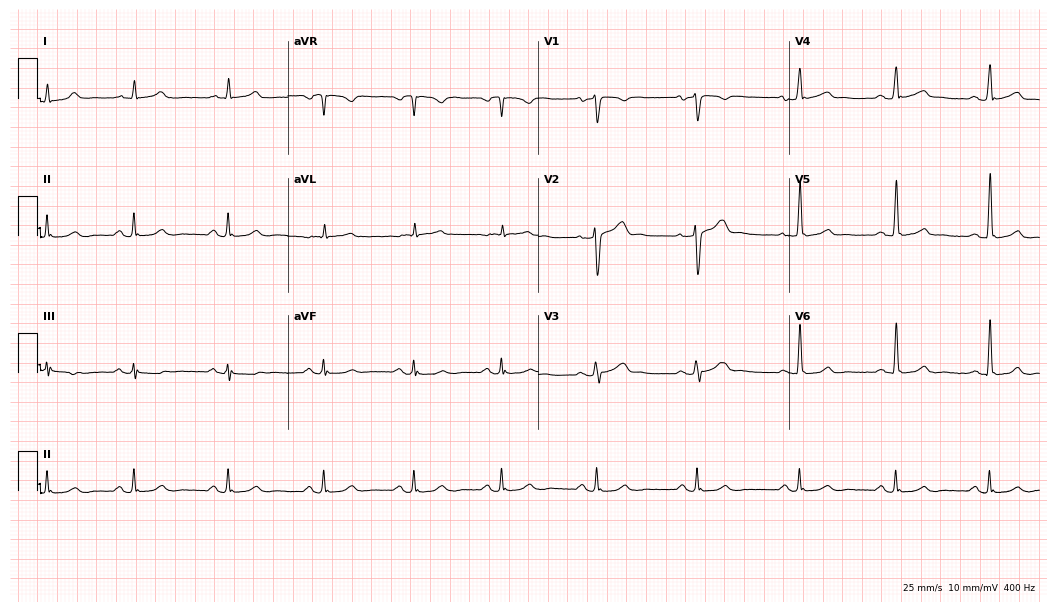
Resting 12-lead electrocardiogram. Patient: a man, 37 years old. Read as a normal ECG.